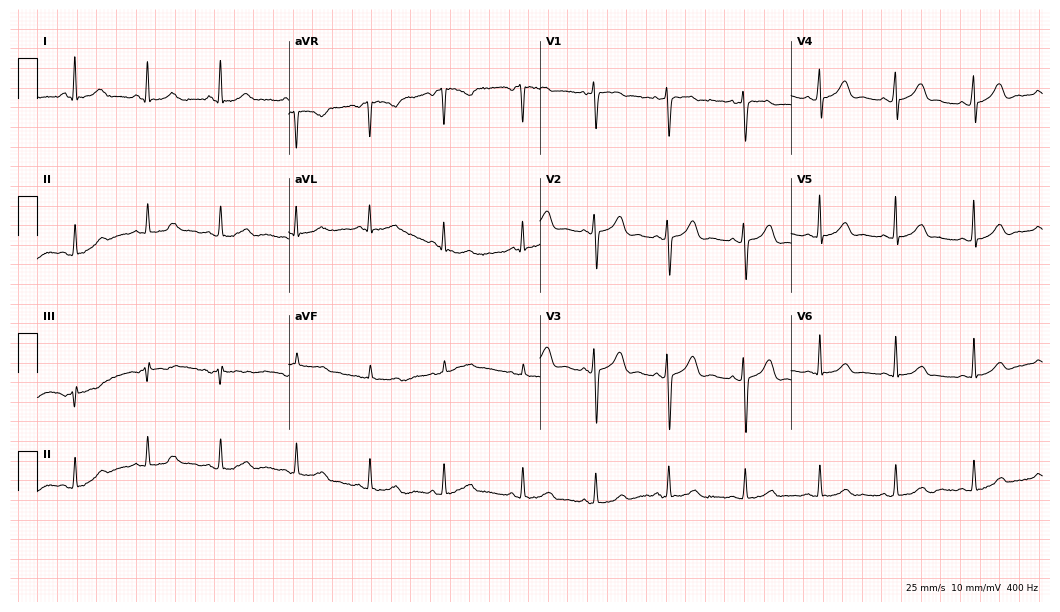
Standard 12-lead ECG recorded from a female, 22 years old. Read as a normal ECG.